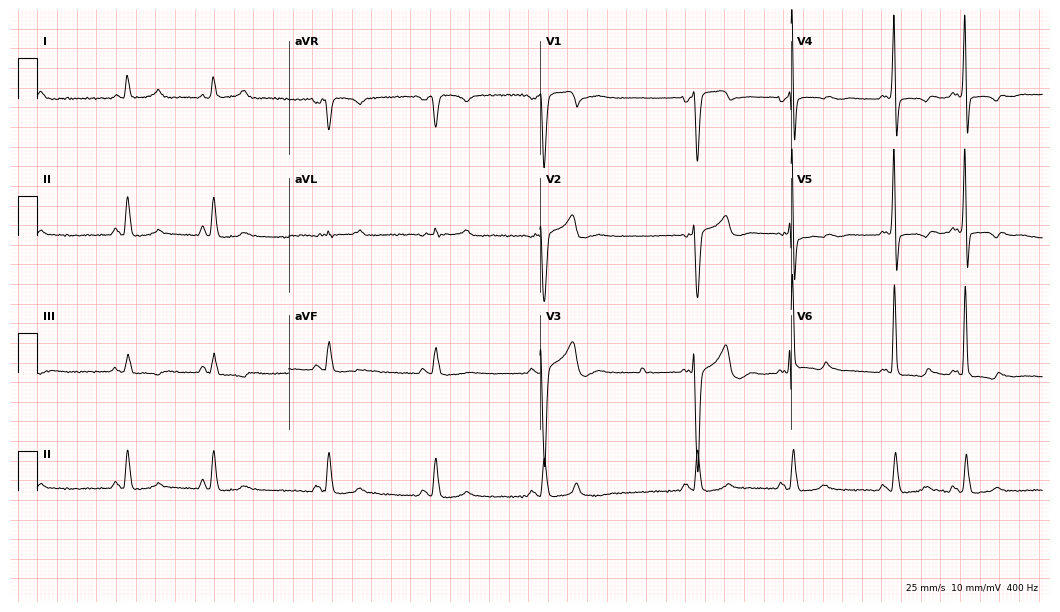
12-lead ECG from a 76-year-old man. No first-degree AV block, right bundle branch block, left bundle branch block, sinus bradycardia, atrial fibrillation or sinus tachycardia recorded for this tracing. Other findings, if any, are not listed.